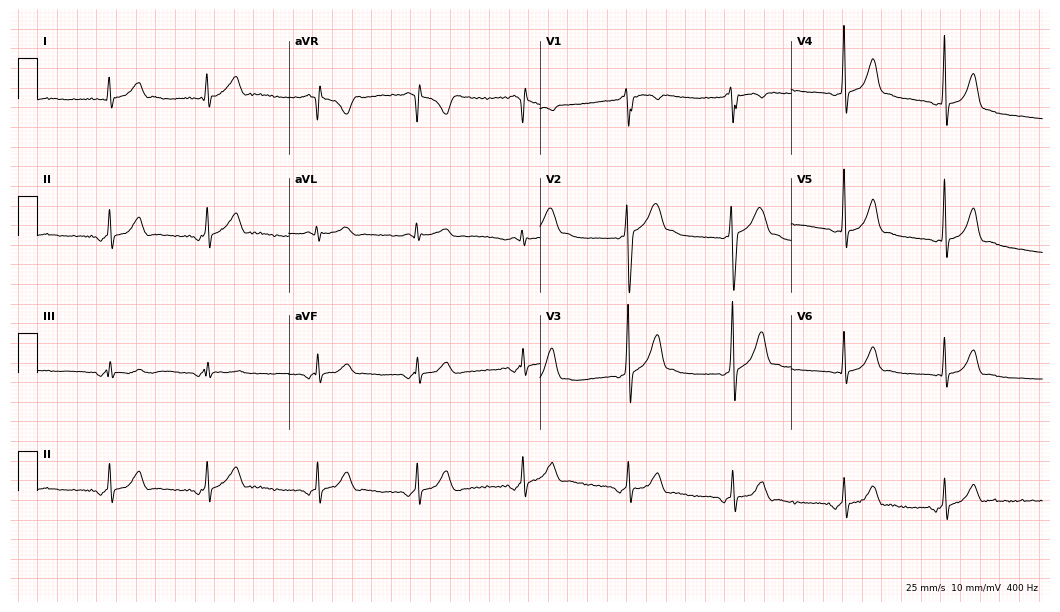
Resting 12-lead electrocardiogram (10.2-second recording at 400 Hz). Patient: a man, 18 years old. None of these six findings is recorded: first-degree AV block, right bundle branch block, left bundle branch block, sinus bradycardia, atrial fibrillation, sinus tachycardia.